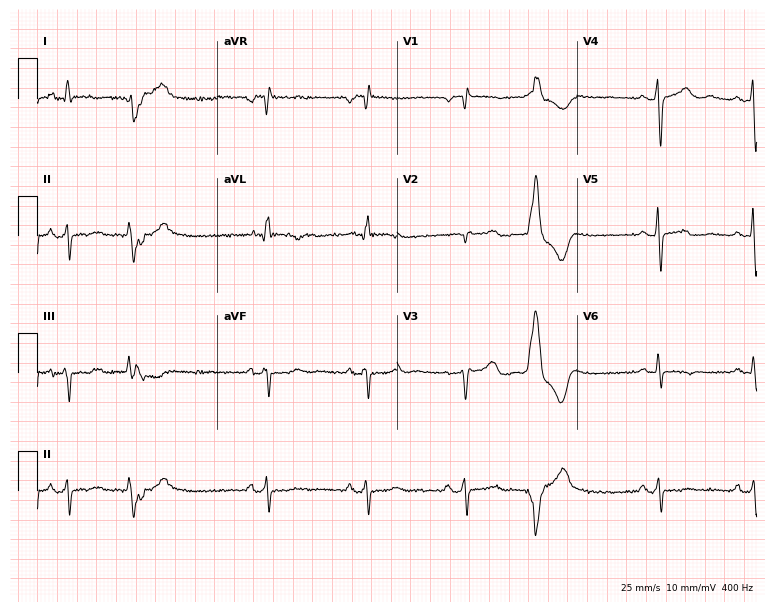
12-lead ECG (7.3-second recording at 400 Hz) from a female patient, 73 years old. Screened for six findings — first-degree AV block, right bundle branch block, left bundle branch block, sinus bradycardia, atrial fibrillation, sinus tachycardia — none is recorded. Findings outside these six are not listed.